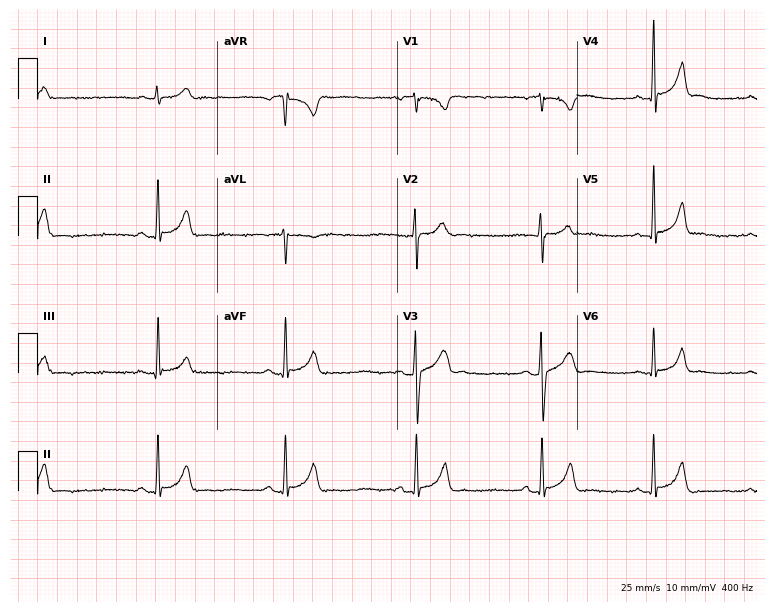
12-lead ECG from a female patient, 19 years old (7.3-second recording at 400 Hz). Shows sinus bradycardia (a sinus rate of 50 beats per minute or less).